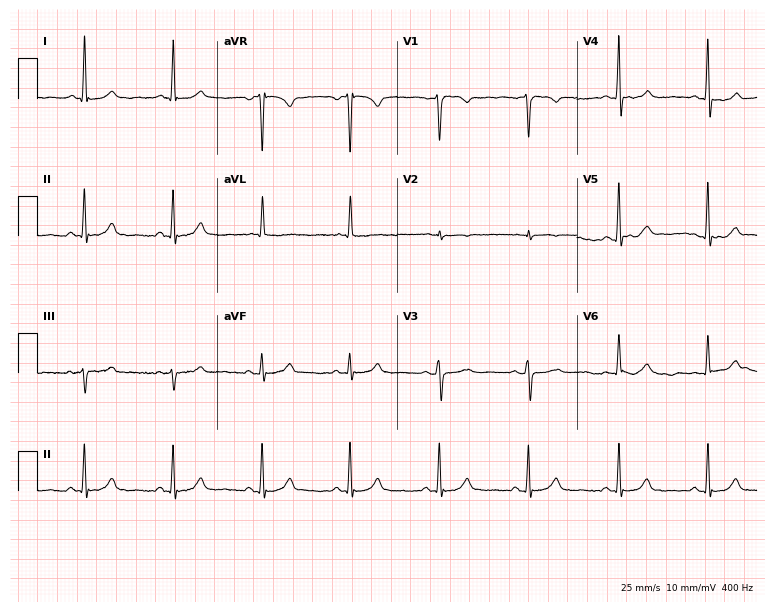
12-lead ECG (7.3-second recording at 400 Hz) from a female, 77 years old. Labelled as a normal ECG.